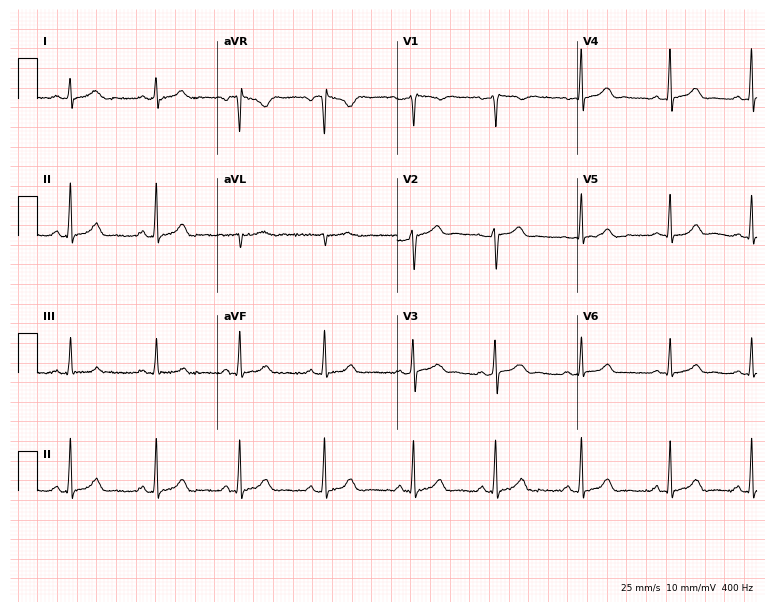
12-lead ECG from a female patient, 36 years old. Recorded interpretation: within normal limits.